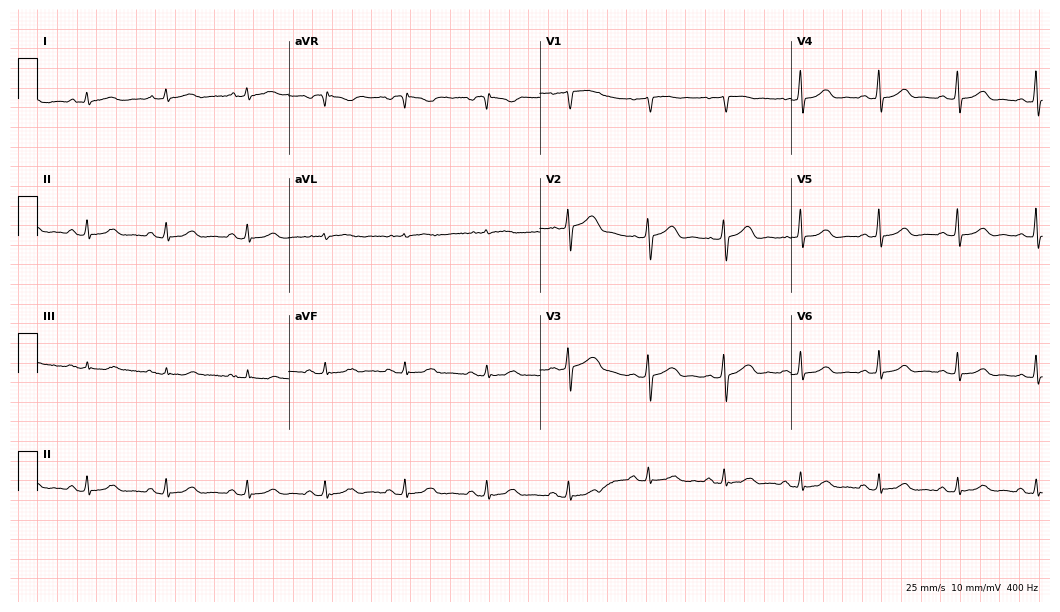
12-lead ECG from a 40-year-old woman (10.2-second recording at 400 Hz). Recorded interpretation: within normal limits.